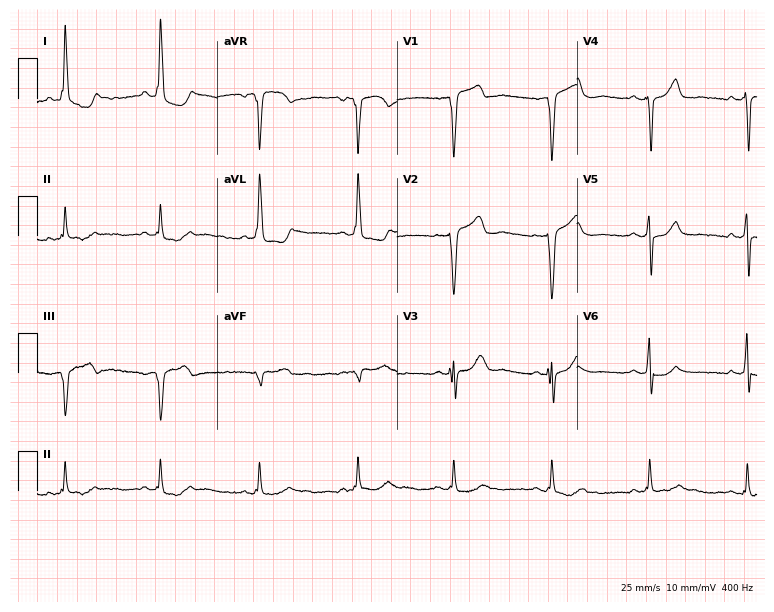
ECG (7.3-second recording at 400 Hz) — a 67-year-old woman. Screened for six findings — first-degree AV block, right bundle branch block (RBBB), left bundle branch block (LBBB), sinus bradycardia, atrial fibrillation (AF), sinus tachycardia — none is recorded. Findings outside these six are not listed.